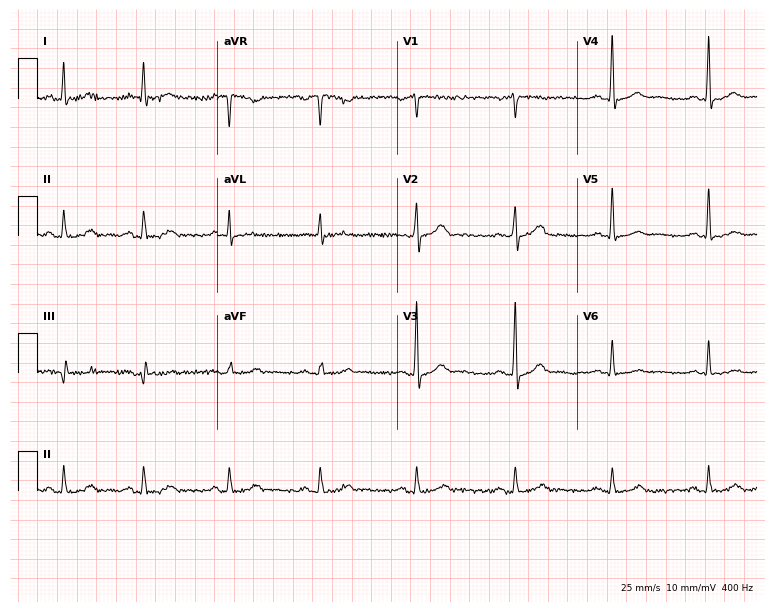
Electrocardiogram, a 47-year-old man. Of the six screened findings (first-degree AV block, right bundle branch block, left bundle branch block, sinus bradycardia, atrial fibrillation, sinus tachycardia), none is recorded.